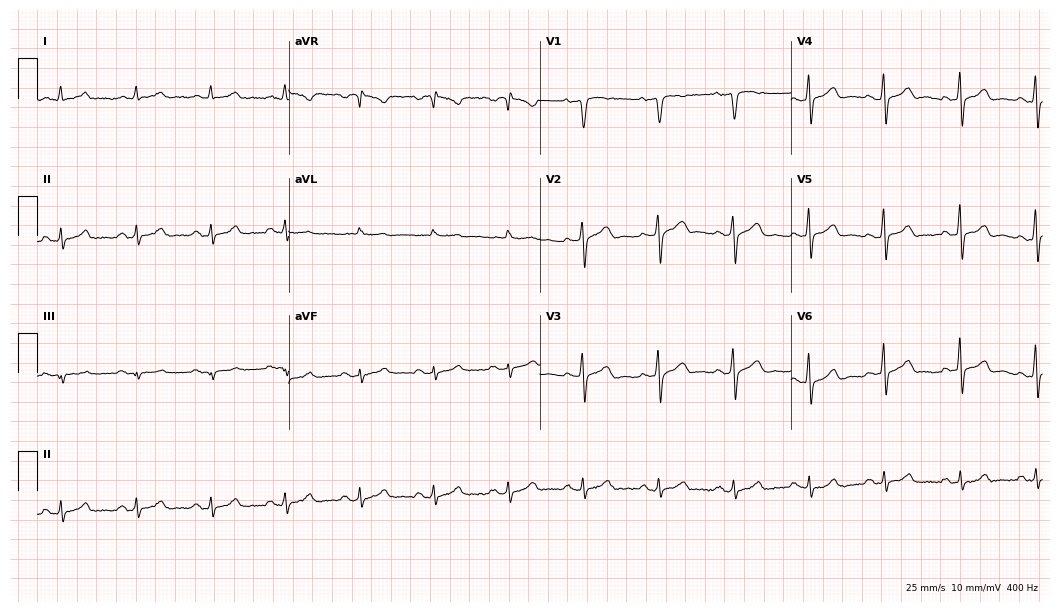
ECG (10.2-second recording at 400 Hz) — a man, 70 years old. Labelled as a normal ECG.